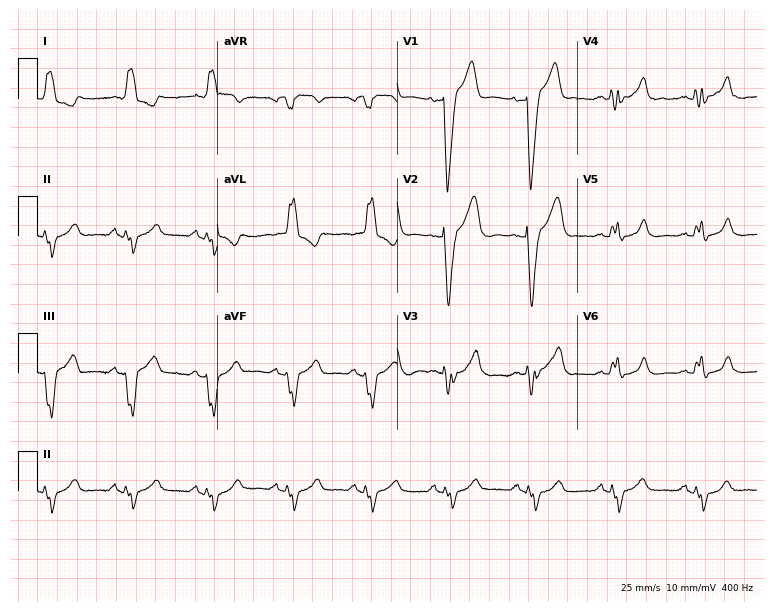
Electrocardiogram, a 62-year-old male patient. Interpretation includes left bundle branch block.